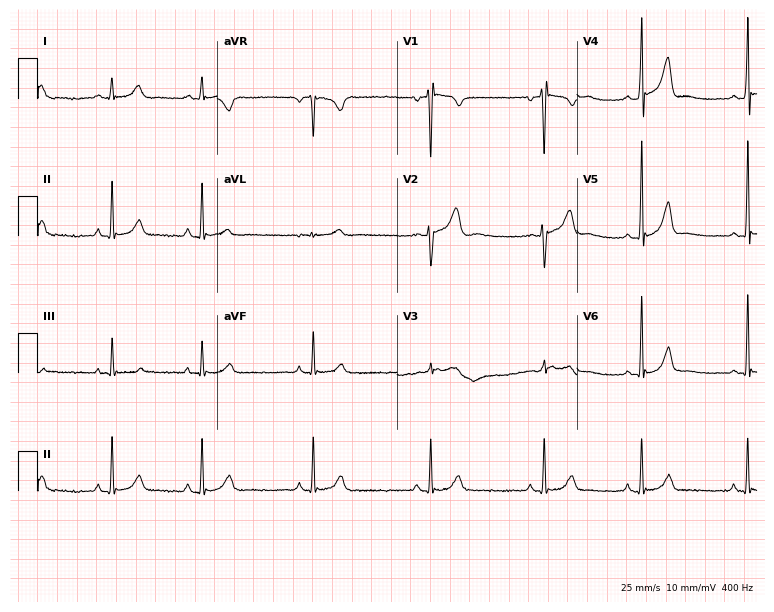
Standard 12-lead ECG recorded from an 18-year-old male patient (7.3-second recording at 400 Hz). Read as a normal ECG.